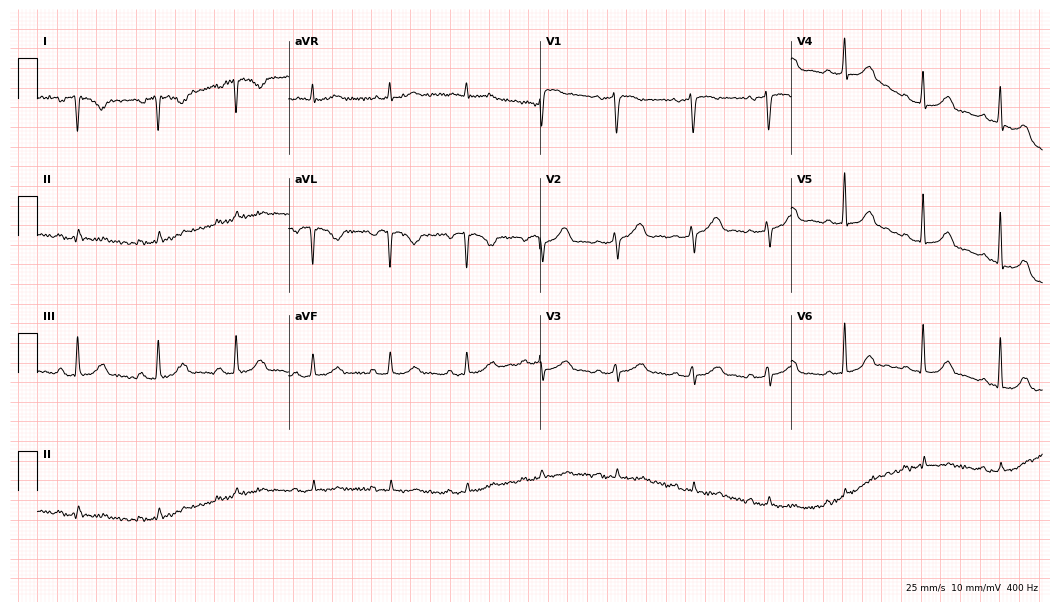
Standard 12-lead ECG recorded from a 46-year-old woman. None of these six findings is recorded: first-degree AV block, right bundle branch block, left bundle branch block, sinus bradycardia, atrial fibrillation, sinus tachycardia. Findings outside these six are not listed.